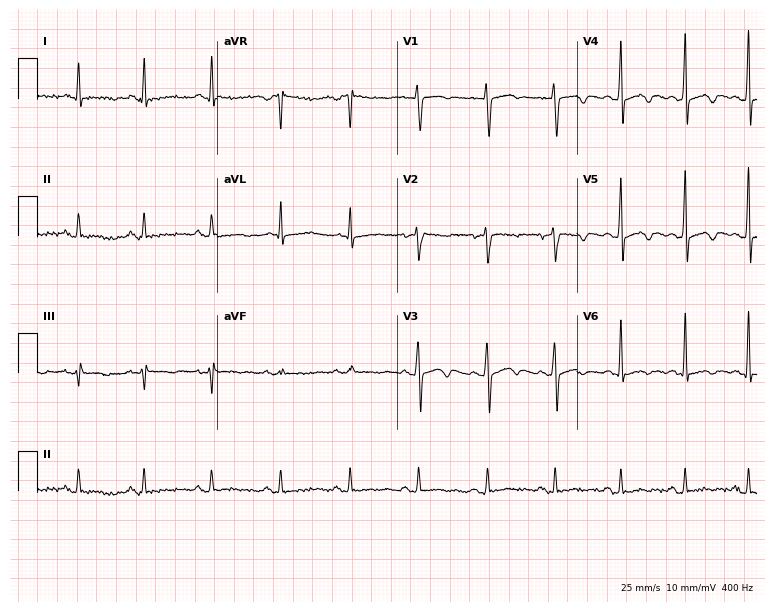
Electrocardiogram (7.3-second recording at 400 Hz), a male patient, 44 years old. Of the six screened findings (first-degree AV block, right bundle branch block, left bundle branch block, sinus bradycardia, atrial fibrillation, sinus tachycardia), none is recorded.